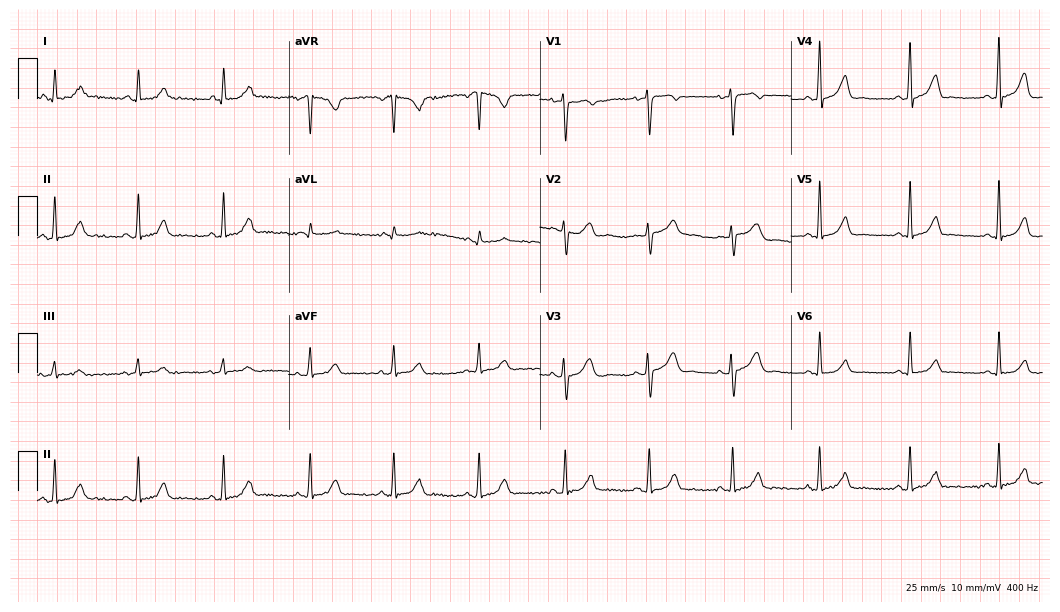
Electrocardiogram (10.2-second recording at 400 Hz), a female, 45 years old. Overall reading on record: normal ECG.